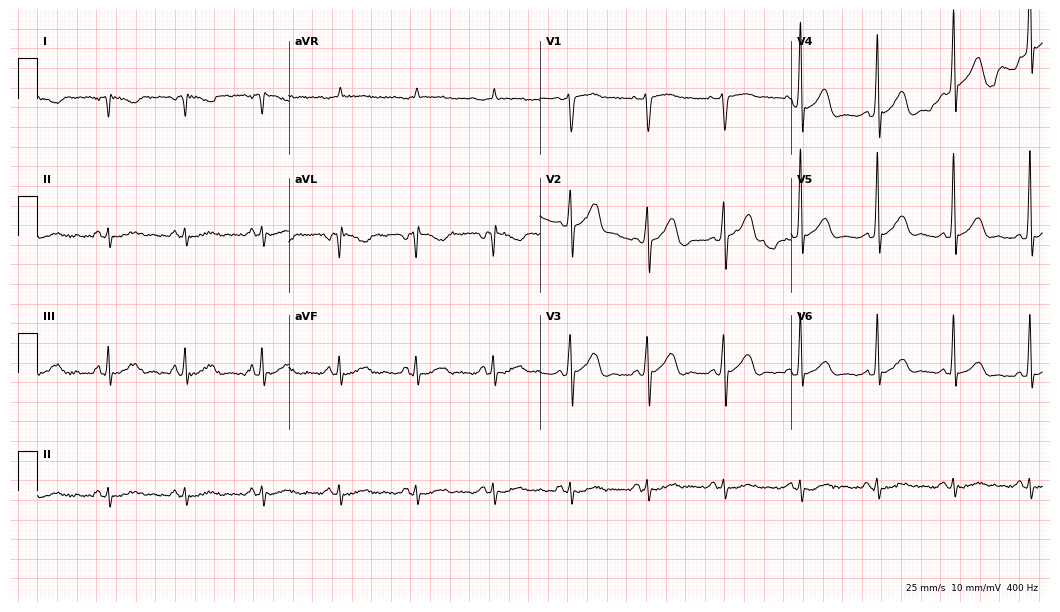
ECG — a 51-year-old male patient. Screened for six findings — first-degree AV block, right bundle branch block, left bundle branch block, sinus bradycardia, atrial fibrillation, sinus tachycardia — none is recorded.